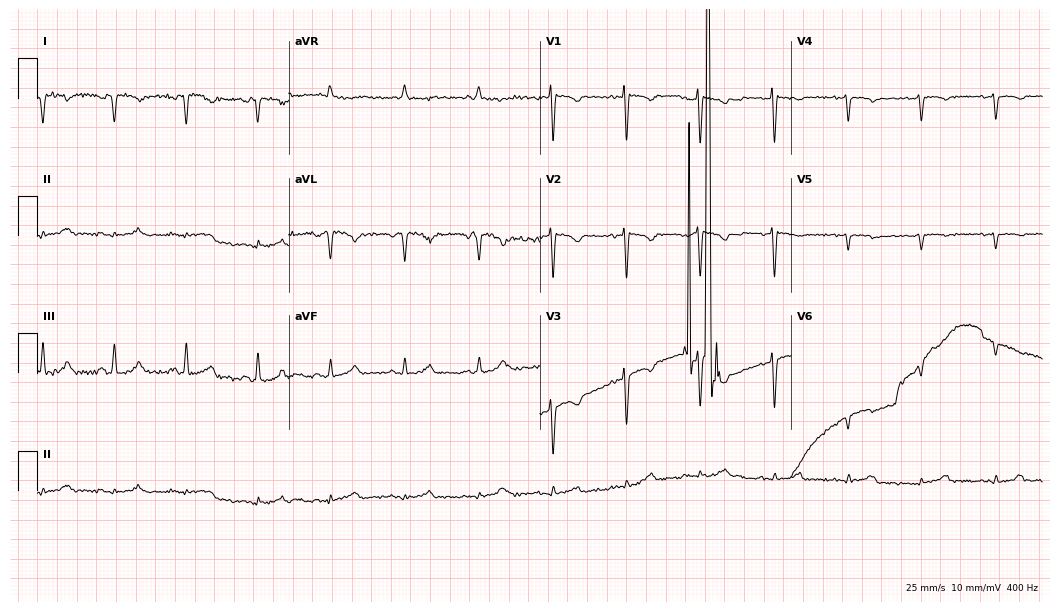
12-lead ECG from a female patient, 36 years old. Screened for six findings — first-degree AV block, right bundle branch block, left bundle branch block, sinus bradycardia, atrial fibrillation, sinus tachycardia — none is recorded.